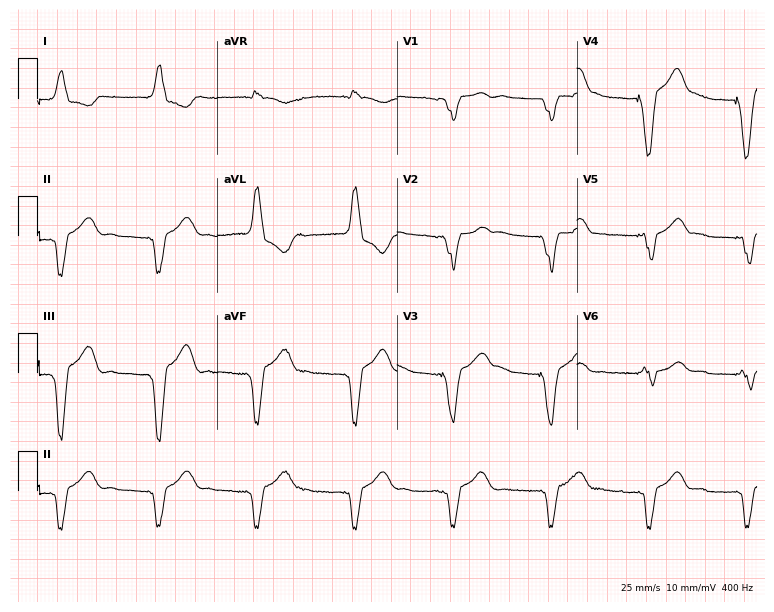
Standard 12-lead ECG recorded from a 70-year-old female (7.3-second recording at 400 Hz). None of these six findings is recorded: first-degree AV block, right bundle branch block (RBBB), left bundle branch block (LBBB), sinus bradycardia, atrial fibrillation (AF), sinus tachycardia.